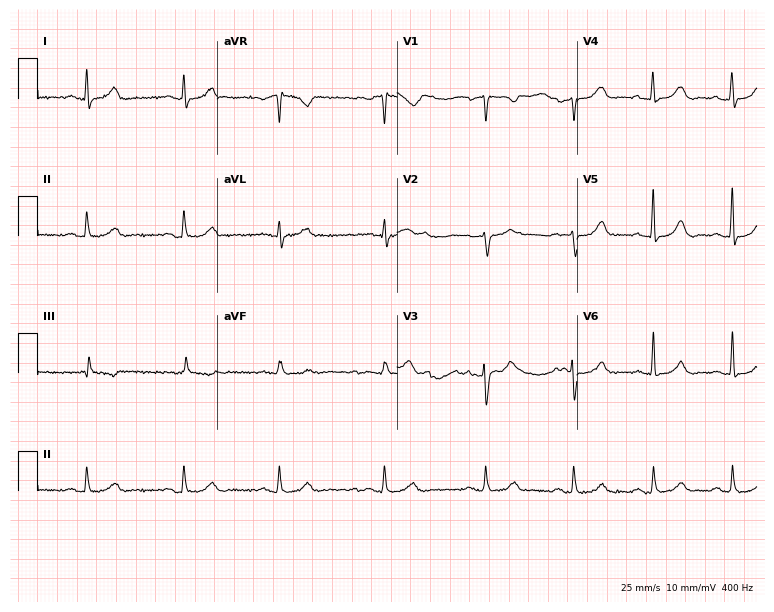
Electrocardiogram, a female, 46 years old. Overall reading on record: normal ECG.